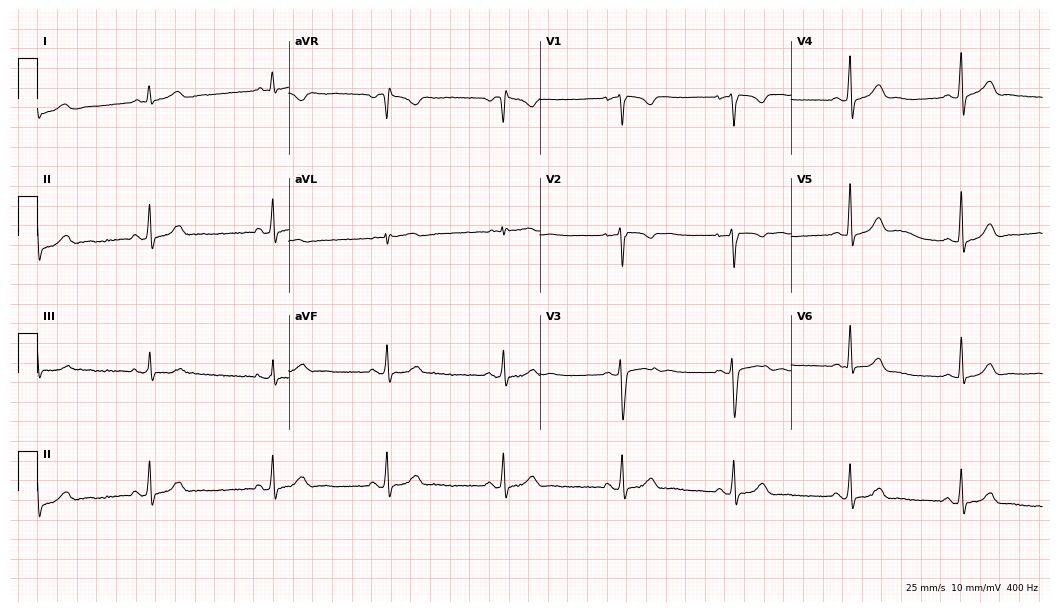
Resting 12-lead electrocardiogram (10.2-second recording at 400 Hz). Patient: a 23-year-old female. None of these six findings is recorded: first-degree AV block, right bundle branch block (RBBB), left bundle branch block (LBBB), sinus bradycardia, atrial fibrillation (AF), sinus tachycardia.